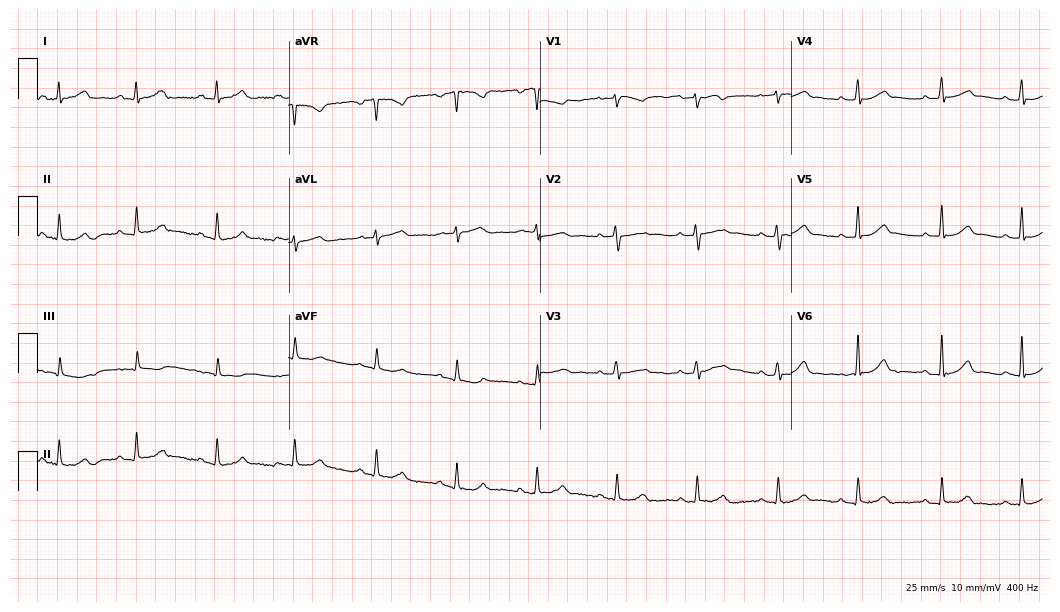
Electrocardiogram (10.2-second recording at 400 Hz), a 31-year-old female patient. Overall reading on record: normal ECG.